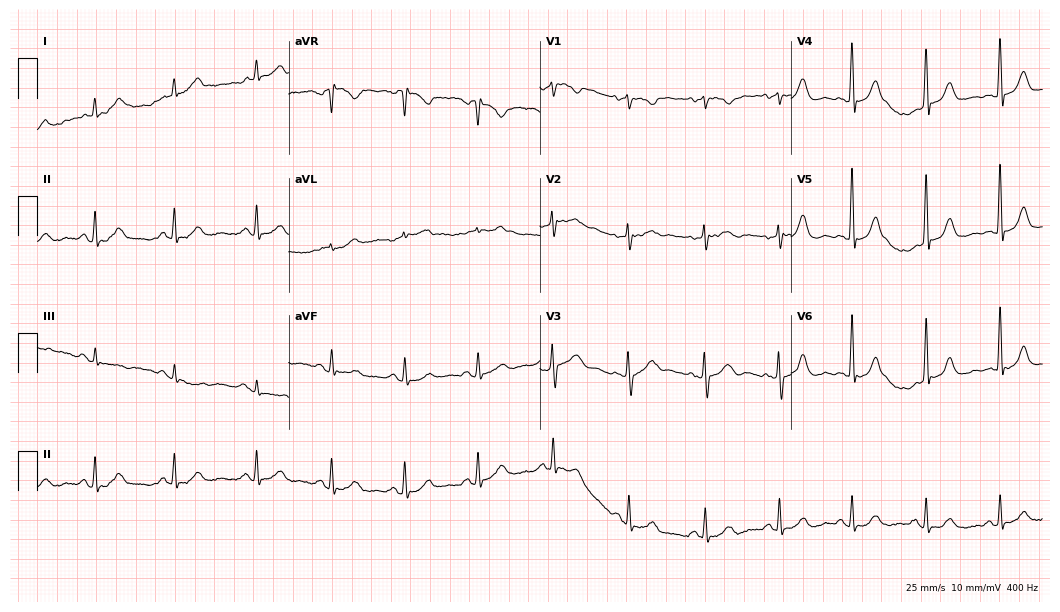
ECG (10.2-second recording at 400 Hz) — a female patient, 76 years old. Labelled as a normal ECG.